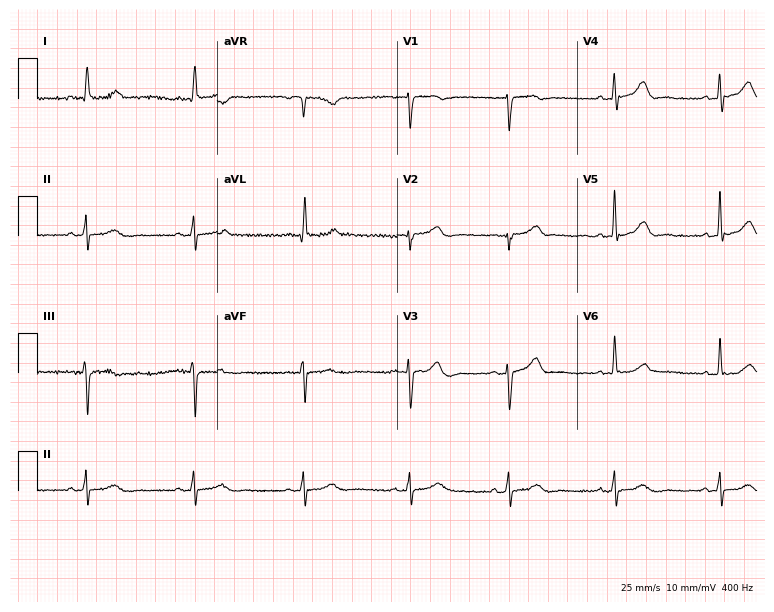
Electrocardiogram, a woman, 71 years old. Overall reading on record: normal ECG.